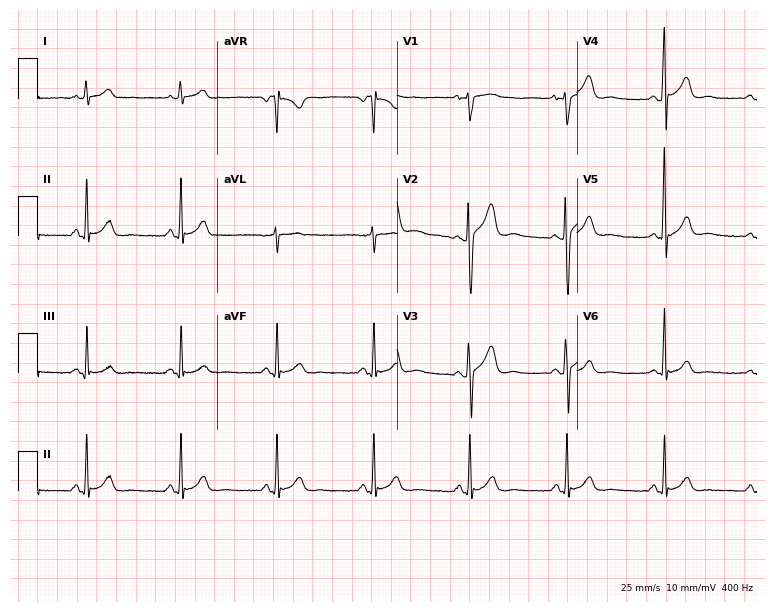
ECG (7.3-second recording at 400 Hz) — a 39-year-old male. Labelled as a normal ECG.